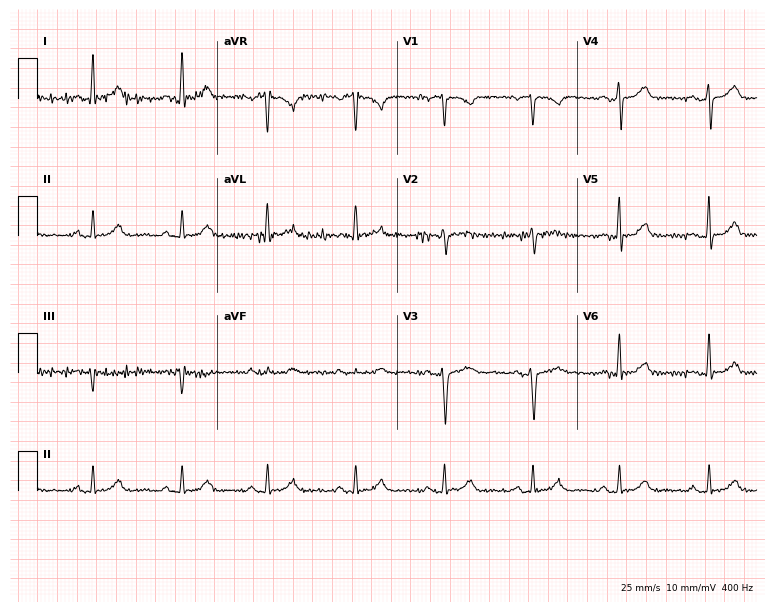
ECG — a 55-year-old woman. Labelled as a normal ECG.